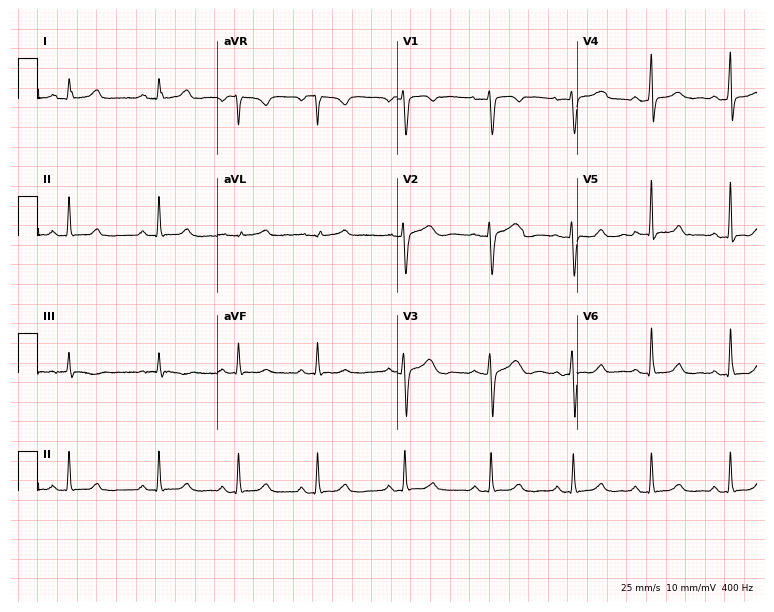
Resting 12-lead electrocardiogram. Patient: a 26-year-old female. Read as a normal ECG.